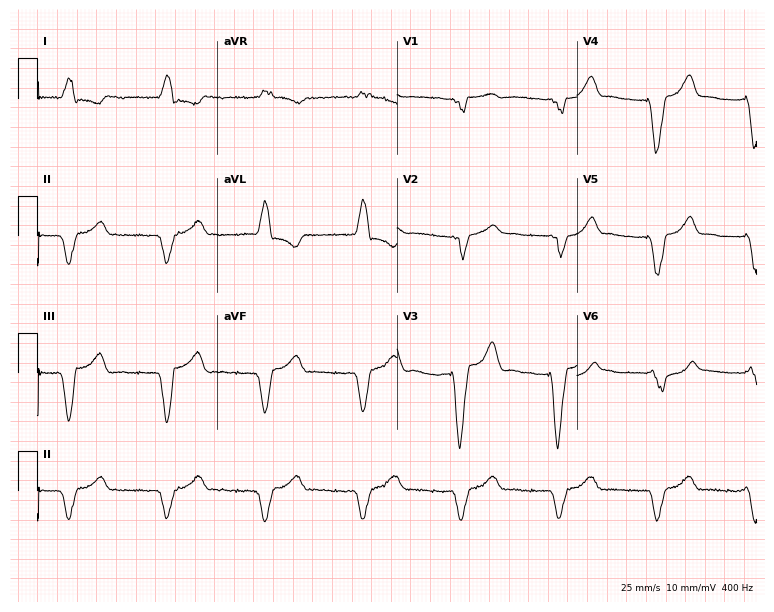
Standard 12-lead ECG recorded from a 62-year-old man (7.3-second recording at 400 Hz). None of these six findings is recorded: first-degree AV block, right bundle branch block (RBBB), left bundle branch block (LBBB), sinus bradycardia, atrial fibrillation (AF), sinus tachycardia. Findings outside these six are not listed.